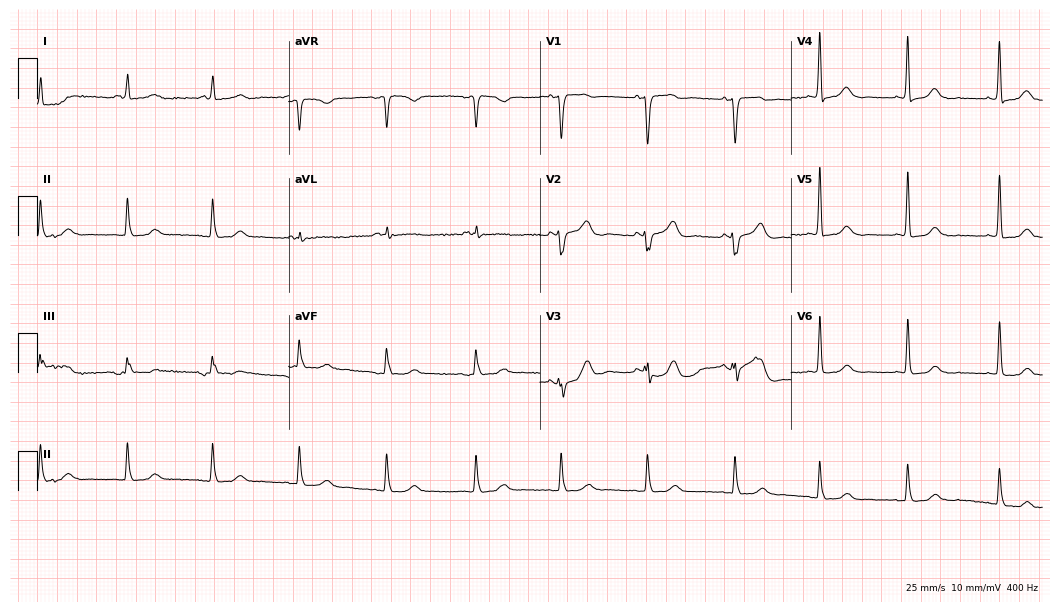
ECG (10.2-second recording at 400 Hz) — a woman, 80 years old. Labelled as a normal ECG.